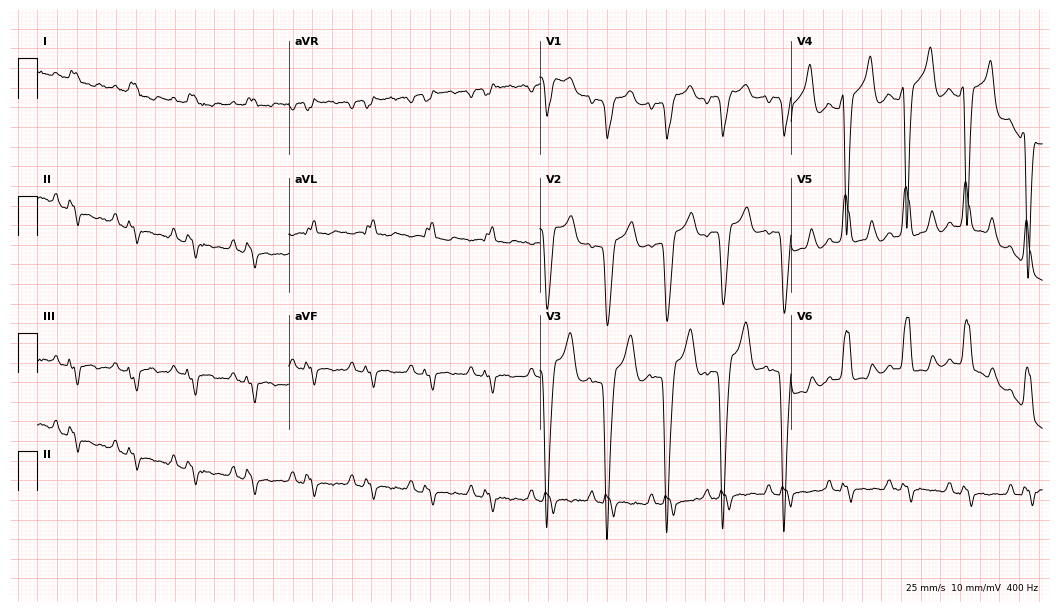
Resting 12-lead electrocardiogram (10.2-second recording at 400 Hz). Patient: a 67-year-old male. The tracing shows left bundle branch block.